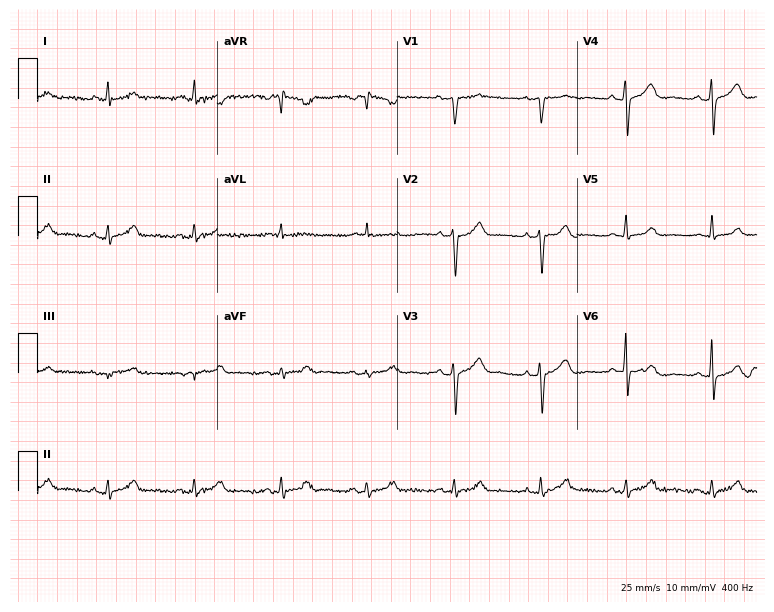
Resting 12-lead electrocardiogram (7.3-second recording at 400 Hz). Patient: a 66-year-old female. Read as a normal ECG.